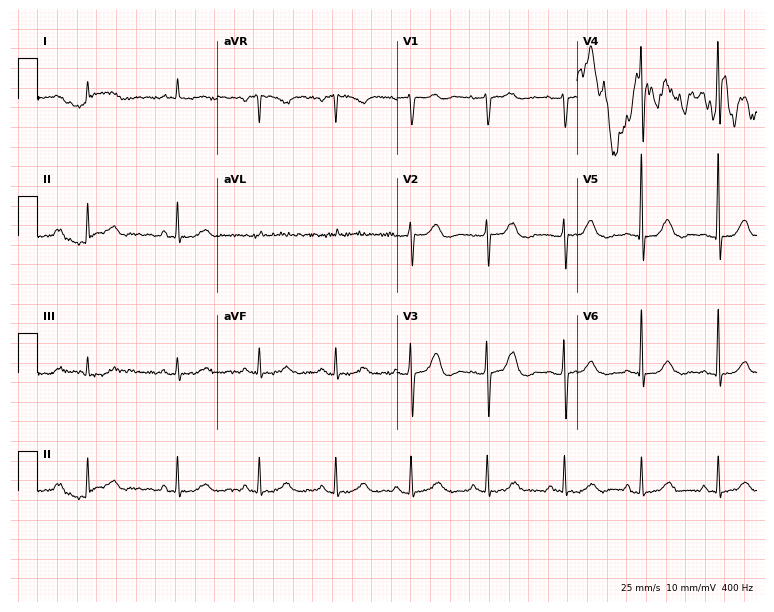
ECG — an 81-year-old female patient. Screened for six findings — first-degree AV block, right bundle branch block (RBBB), left bundle branch block (LBBB), sinus bradycardia, atrial fibrillation (AF), sinus tachycardia — none is recorded.